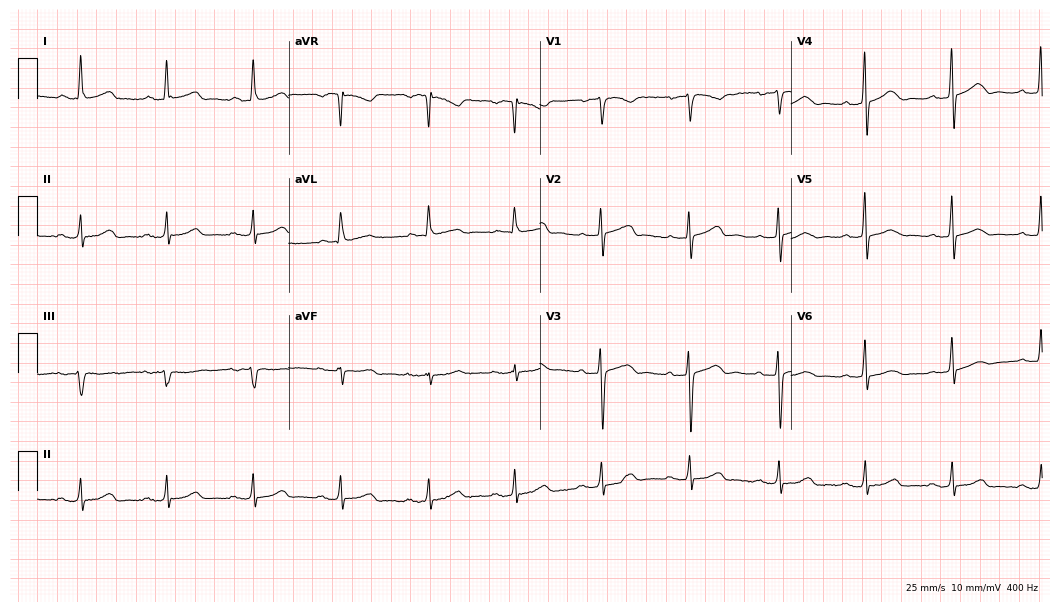
Resting 12-lead electrocardiogram. Patient: a female, 70 years old. Read as a normal ECG.